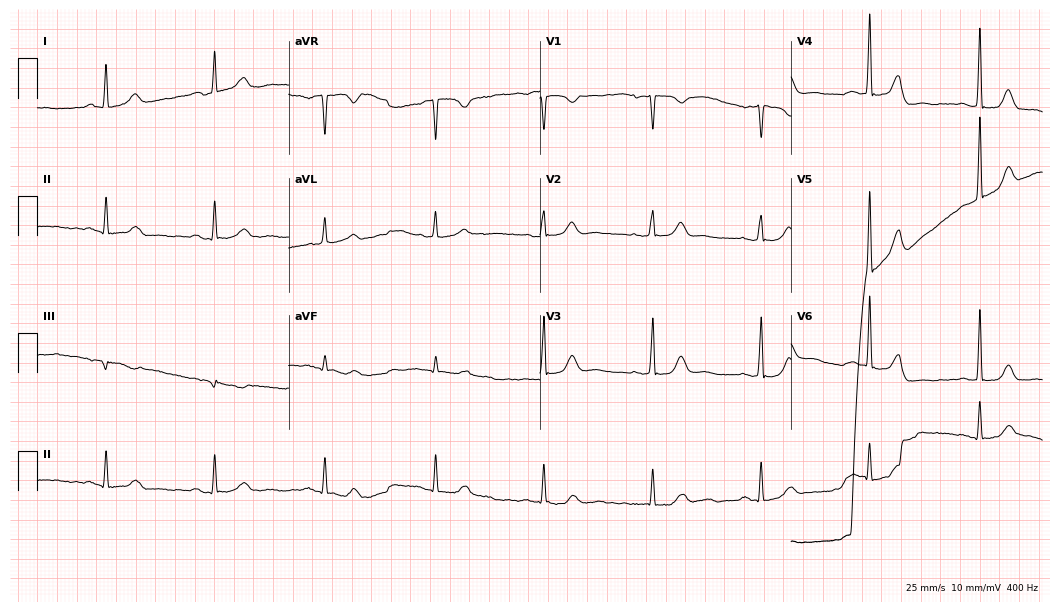
Resting 12-lead electrocardiogram (10.2-second recording at 400 Hz). Patient: a female, 72 years old. None of these six findings is recorded: first-degree AV block, right bundle branch block (RBBB), left bundle branch block (LBBB), sinus bradycardia, atrial fibrillation (AF), sinus tachycardia. Findings outside these six are not listed.